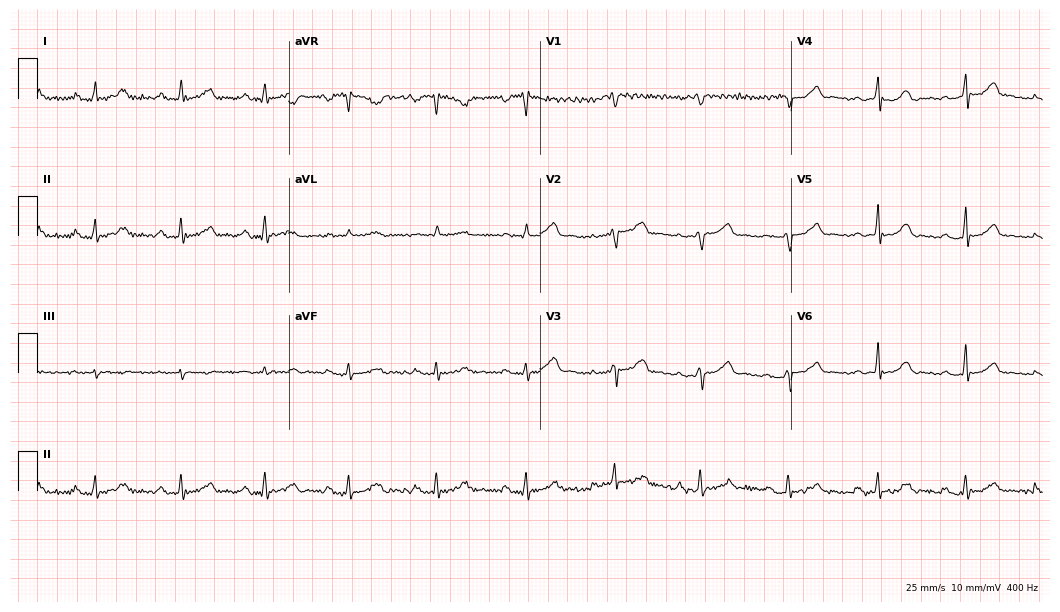
12-lead ECG from a 43-year-old female patient (10.2-second recording at 400 Hz). No first-degree AV block, right bundle branch block, left bundle branch block, sinus bradycardia, atrial fibrillation or sinus tachycardia recorded for this tracing.